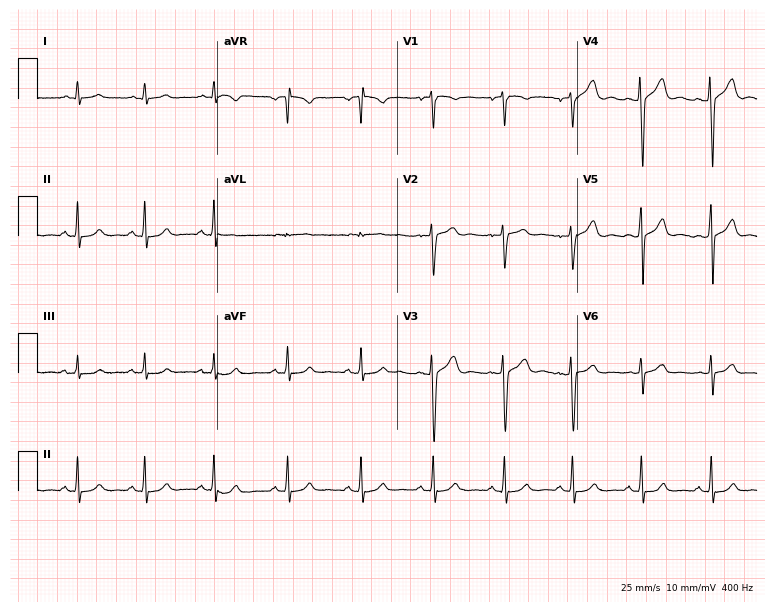
12-lead ECG from a man, 29 years old. No first-degree AV block, right bundle branch block (RBBB), left bundle branch block (LBBB), sinus bradycardia, atrial fibrillation (AF) or sinus tachycardia recorded for this tracing. Other findings, if any, are not listed.